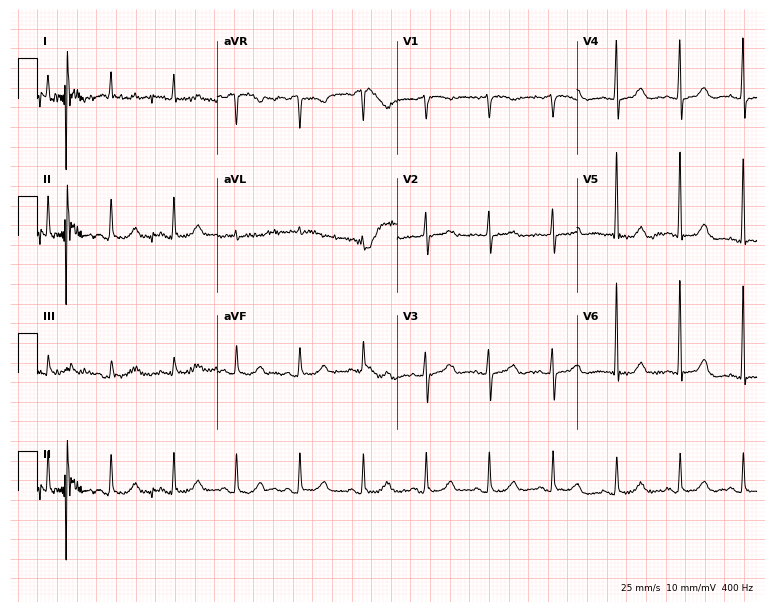
ECG (7.3-second recording at 400 Hz) — a 79-year-old woman. Screened for six findings — first-degree AV block, right bundle branch block (RBBB), left bundle branch block (LBBB), sinus bradycardia, atrial fibrillation (AF), sinus tachycardia — none is recorded.